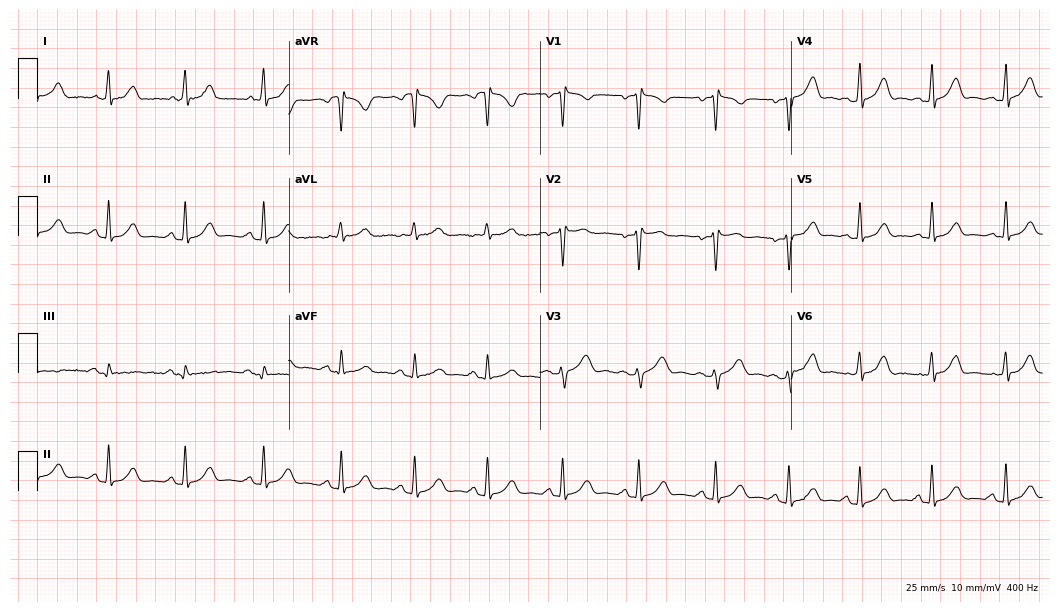
12-lead ECG from a female patient, 32 years old (10.2-second recording at 400 Hz). Recorded interpretation: within normal limits.